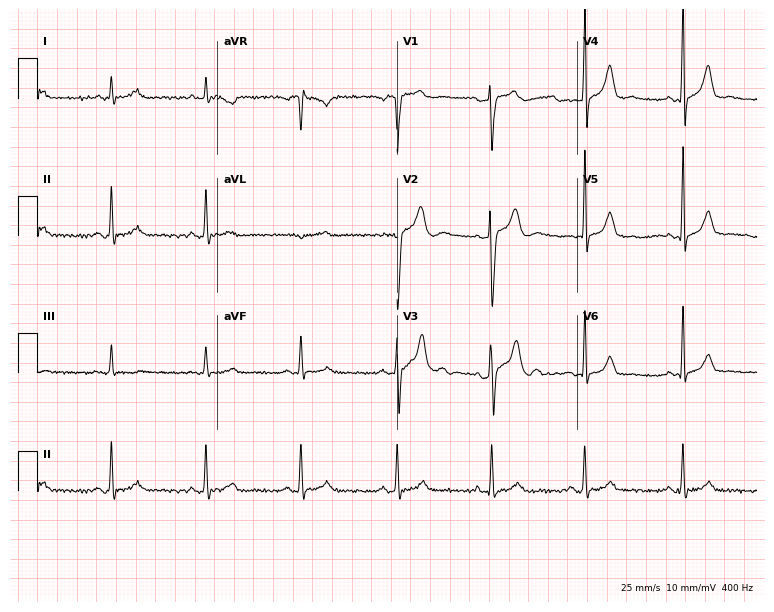
Electrocardiogram (7.3-second recording at 400 Hz), a 42-year-old man. Overall reading on record: normal ECG.